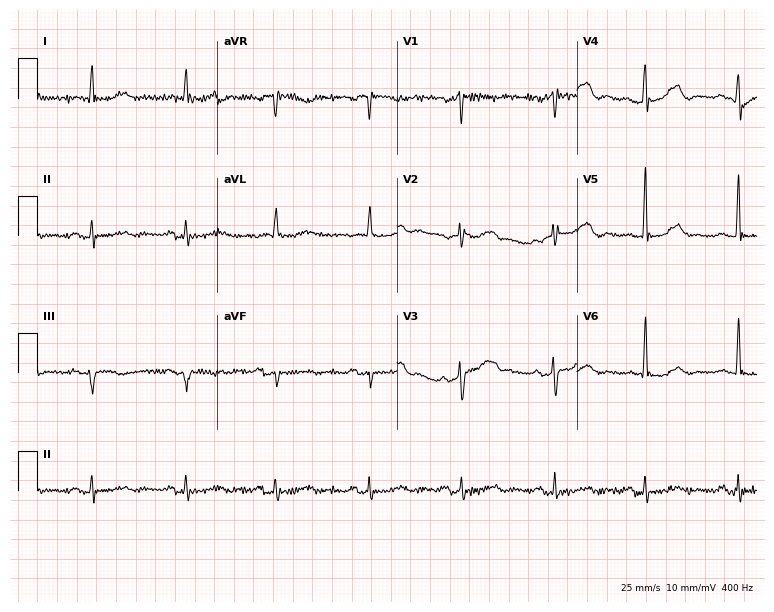
Standard 12-lead ECG recorded from a 60-year-old female (7.3-second recording at 400 Hz). None of these six findings is recorded: first-degree AV block, right bundle branch block, left bundle branch block, sinus bradycardia, atrial fibrillation, sinus tachycardia. Only these six findings were labelled.